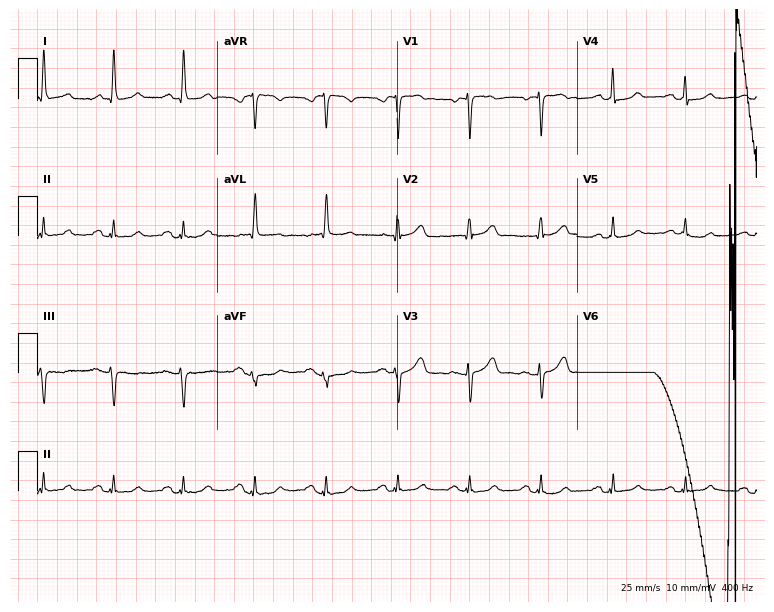
12-lead ECG from a 72-year-old woman. No first-degree AV block, right bundle branch block (RBBB), left bundle branch block (LBBB), sinus bradycardia, atrial fibrillation (AF) or sinus tachycardia recorded for this tracing.